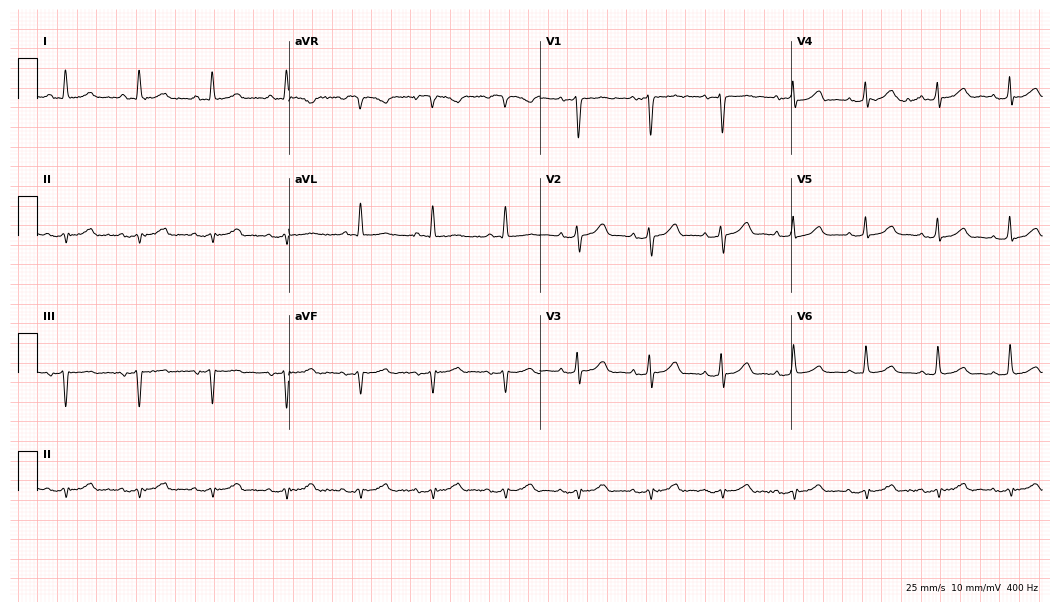
12-lead ECG (10.2-second recording at 400 Hz) from a 75-year-old male patient. Screened for six findings — first-degree AV block, right bundle branch block, left bundle branch block, sinus bradycardia, atrial fibrillation, sinus tachycardia — none is recorded. Only these six findings were labelled.